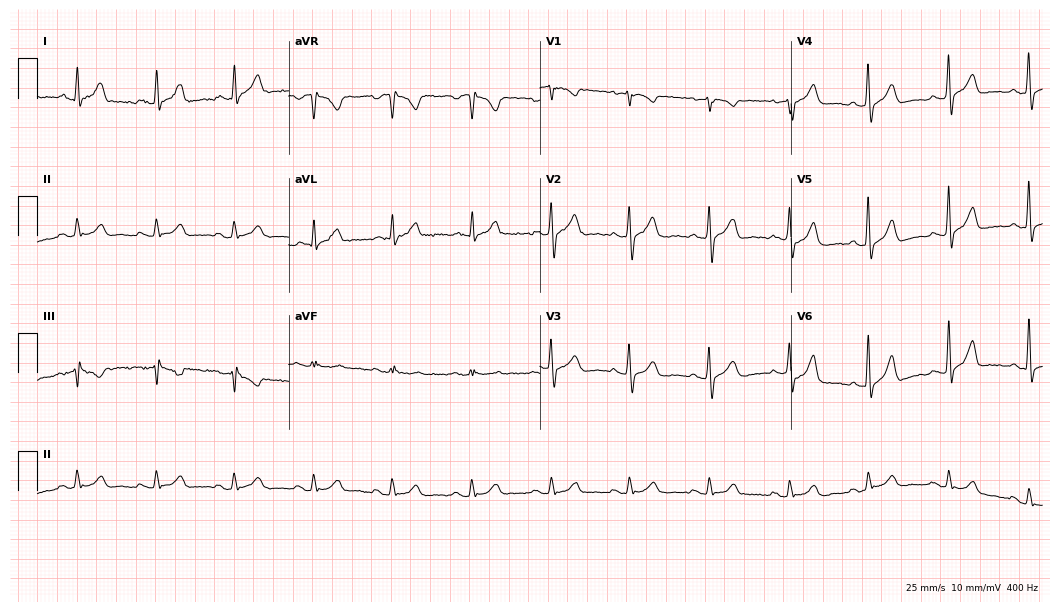
12-lead ECG from a 59-year-old man. Labelled as a normal ECG.